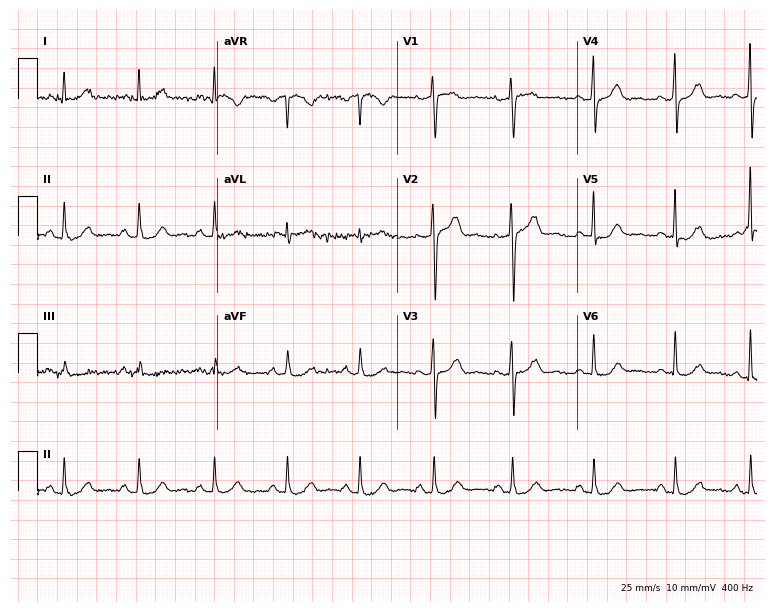
Standard 12-lead ECG recorded from a 64-year-old woman (7.3-second recording at 400 Hz). Read as a normal ECG.